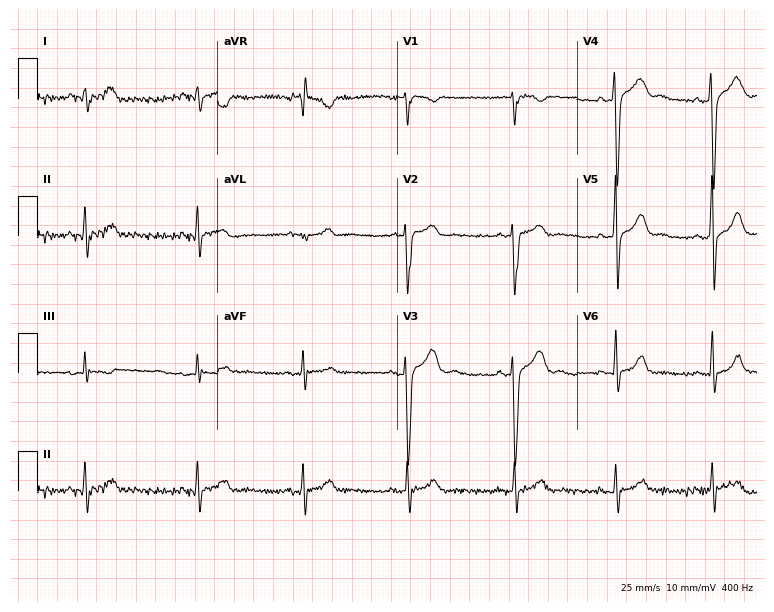
ECG — a male, 27 years old. Screened for six findings — first-degree AV block, right bundle branch block, left bundle branch block, sinus bradycardia, atrial fibrillation, sinus tachycardia — none is recorded.